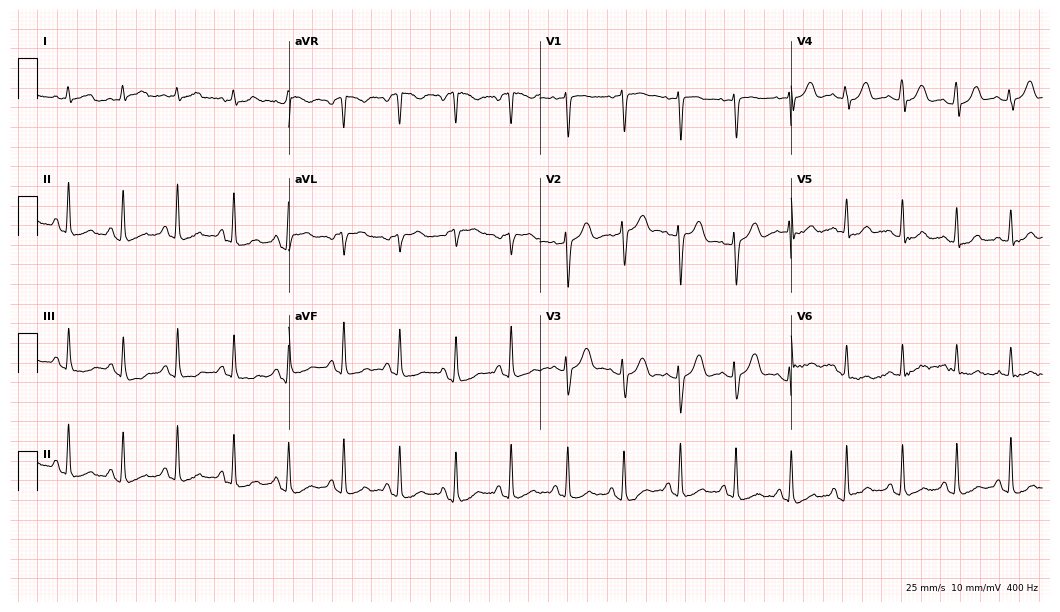
Electrocardiogram, a female patient, 21 years old. Interpretation includes sinus tachycardia (a sinus rate of 100 beats per minute or more).